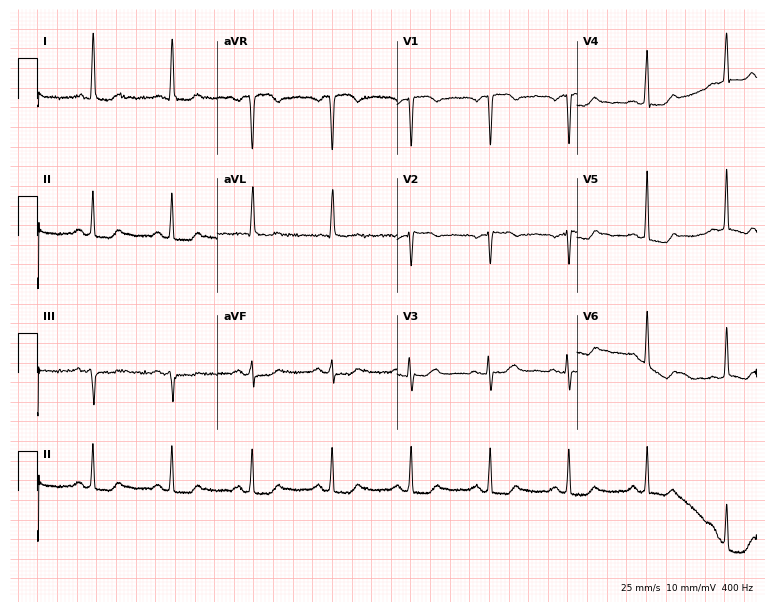
Standard 12-lead ECG recorded from a 54-year-old woman. None of these six findings is recorded: first-degree AV block, right bundle branch block (RBBB), left bundle branch block (LBBB), sinus bradycardia, atrial fibrillation (AF), sinus tachycardia.